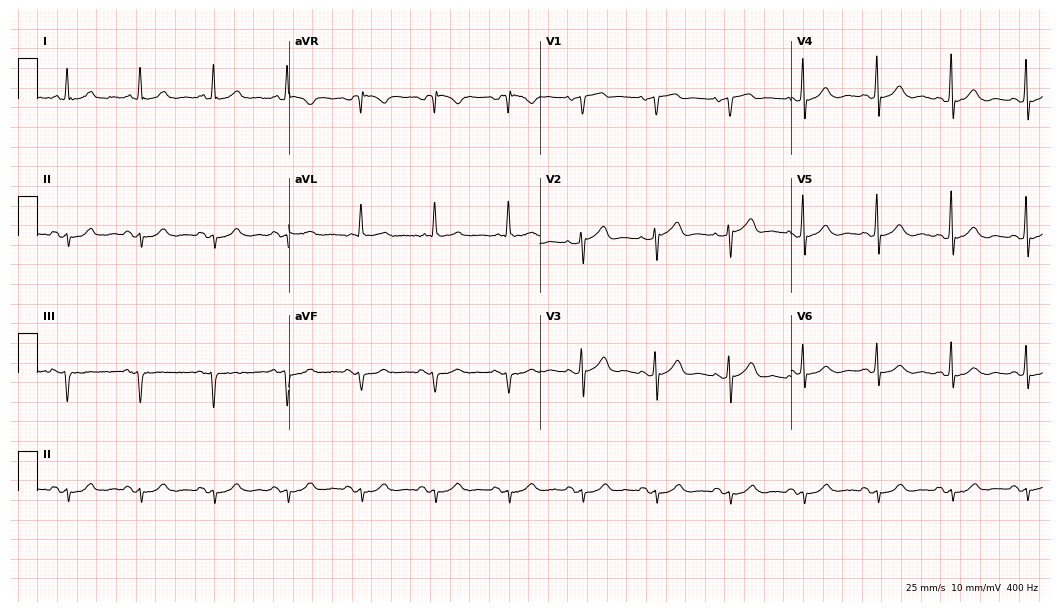
Resting 12-lead electrocardiogram (10.2-second recording at 400 Hz). Patient: a 70-year-old man. None of these six findings is recorded: first-degree AV block, right bundle branch block (RBBB), left bundle branch block (LBBB), sinus bradycardia, atrial fibrillation (AF), sinus tachycardia. Other findings, if any, are not listed.